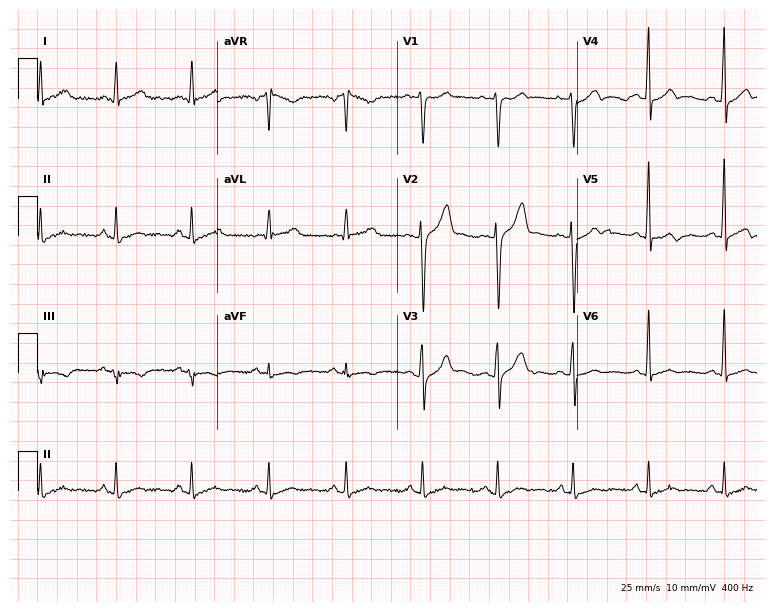
12-lead ECG (7.3-second recording at 400 Hz) from a 46-year-old male patient. Labelled as a normal ECG.